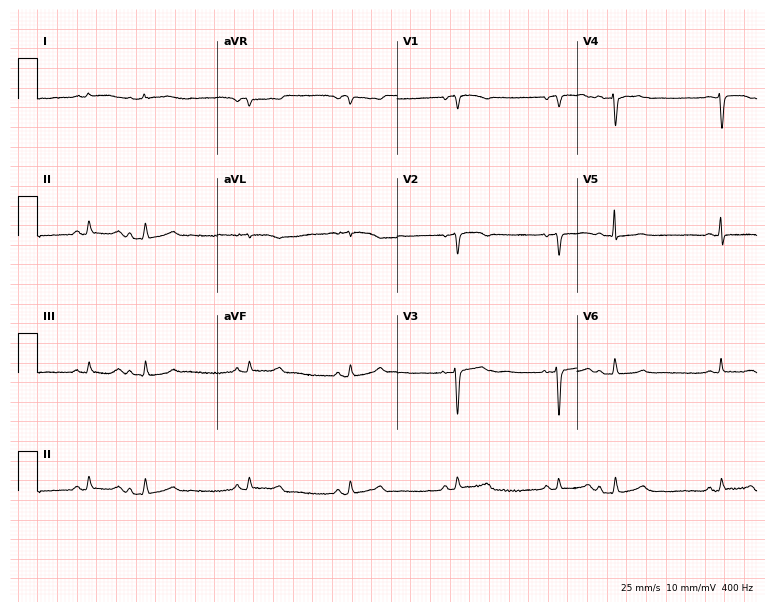
Electrocardiogram (7.3-second recording at 400 Hz), an 84-year-old female patient. Of the six screened findings (first-degree AV block, right bundle branch block, left bundle branch block, sinus bradycardia, atrial fibrillation, sinus tachycardia), none is recorded.